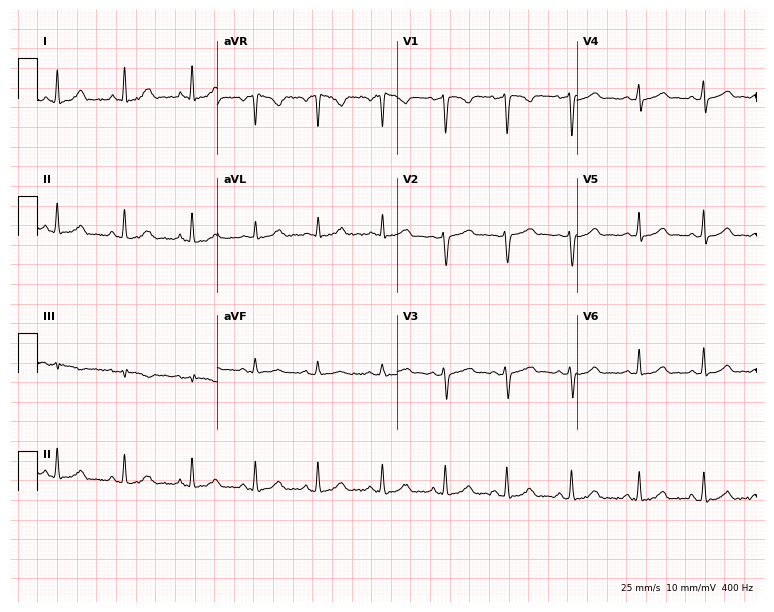
ECG — a woman, 34 years old. Screened for six findings — first-degree AV block, right bundle branch block (RBBB), left bundle branch block (LBBB), sinus bradycardia, atrial fibrillation (AF), sinus tachycardia — none is recorded.